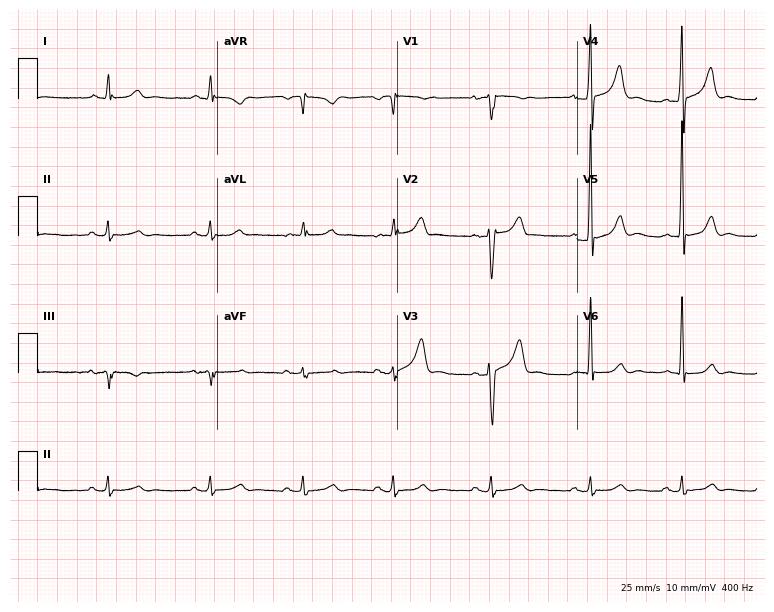
12-lead ECG from a male patient, 45 years old. Labelled as a normal ECG.